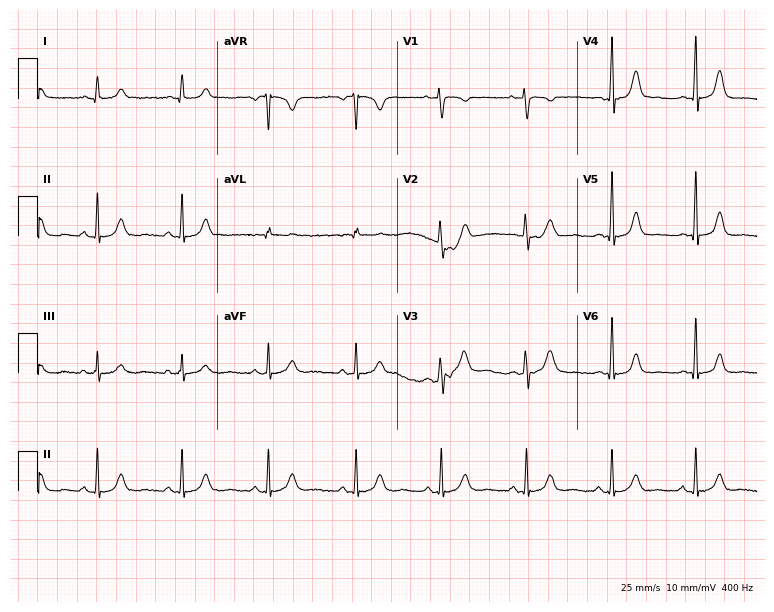
12-lead ECG from a female, 45 years old. Screened for six findings — first-degree AV block, right bundle branch block, left bundle branch block, sinus bradycardia, atrial fibrillation, sinus tachycardia — none is recorded. Findings outside these six are not listed.